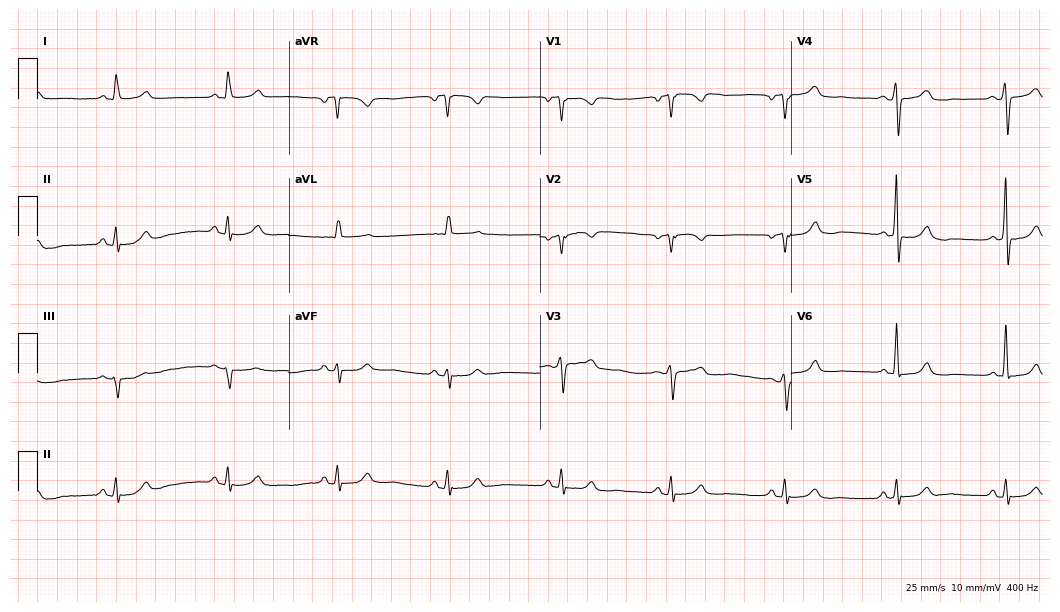
ECG — a female, 66 years old. Screened for six findings — first-degree AV block, right bundle branch block (RBBB), left bundle branch block (LBBB), sinus bradycardia, atrial fibrillation (AF), sinus tachycardia — none is recorded. Only these six findings were labelled.